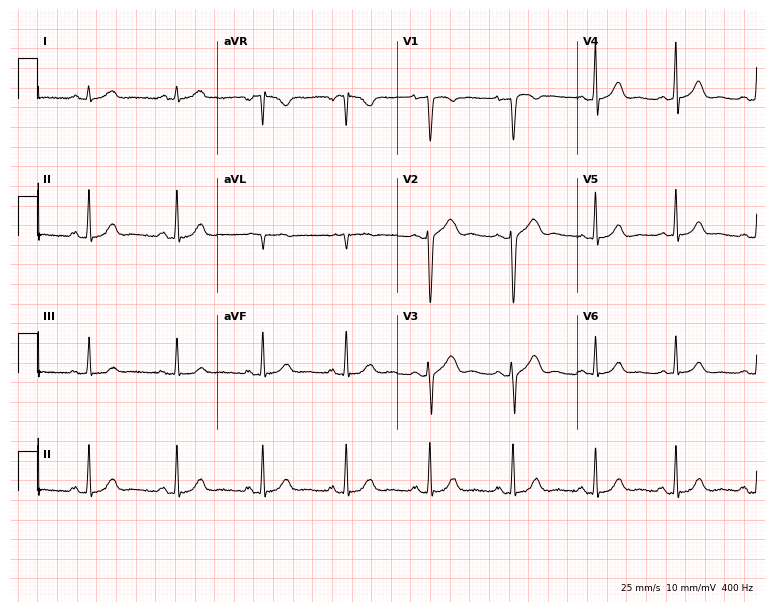
12-lead ECG from a man, 39 years old (7.3-second recording at 400 Hz). Recorded interpretation: within normal limits.